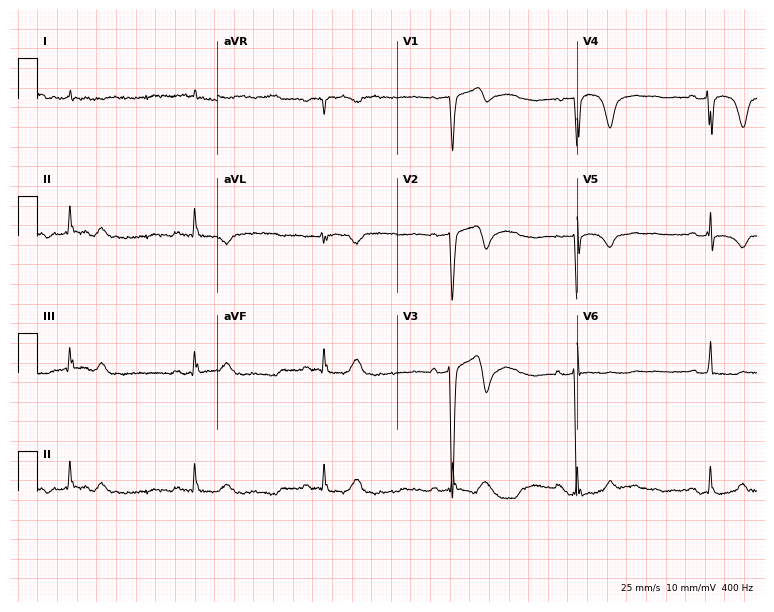
12-lead ECG from a male patient, 77 years old. Findings include sinus bradycardia (a sinus rate of 50 beats per minute or less).